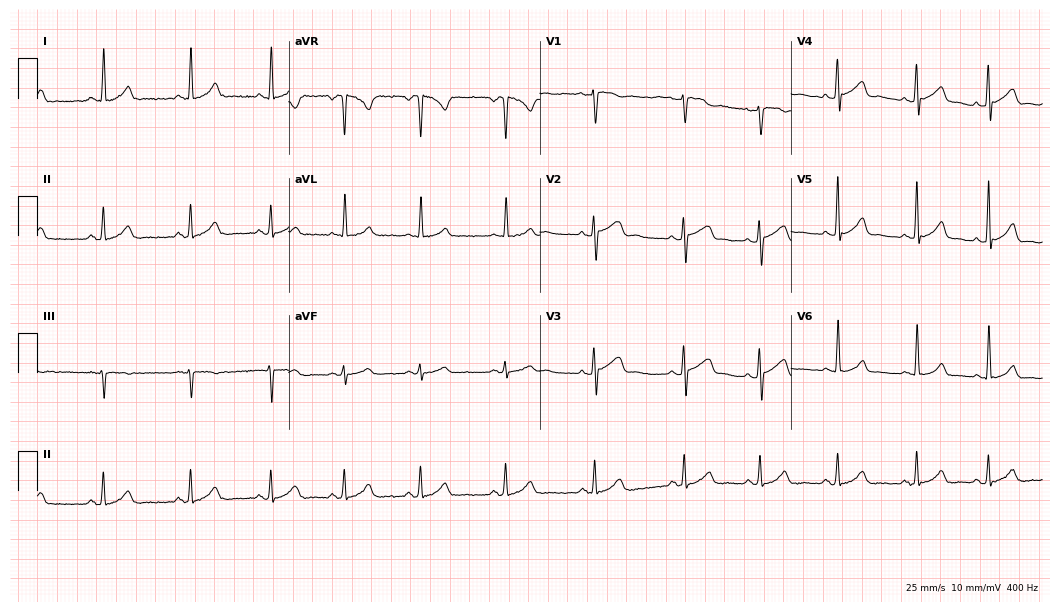
Resting 12-lead electrocardiogram (10.2-second recording at 400 Hz). Patient: a female, 17 years old. Read as a normal ECG.